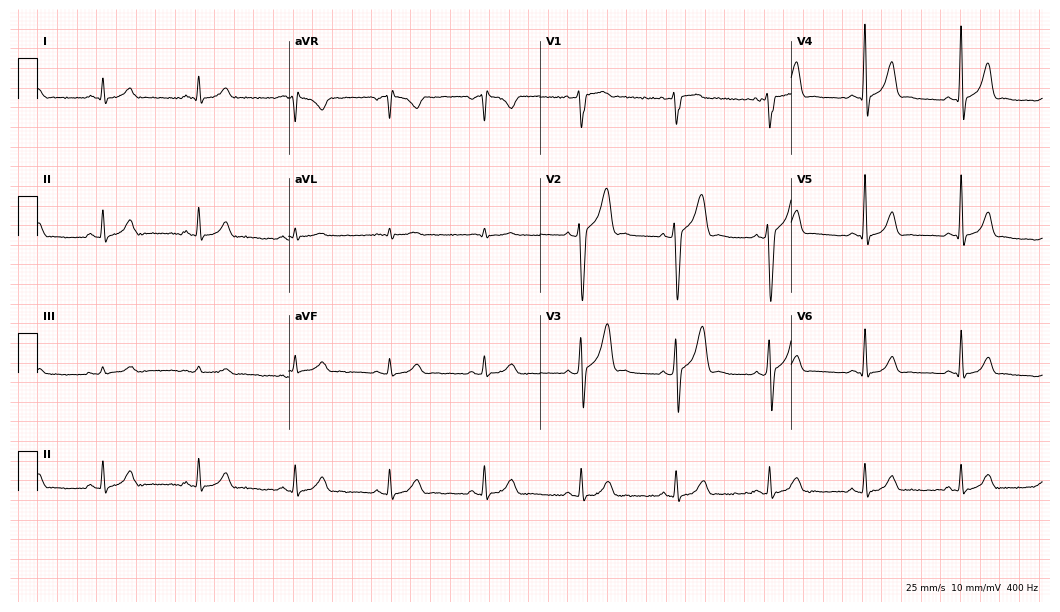
Electrocardiogram, a male, 42 years old. Overall reading on record: normal ECG.